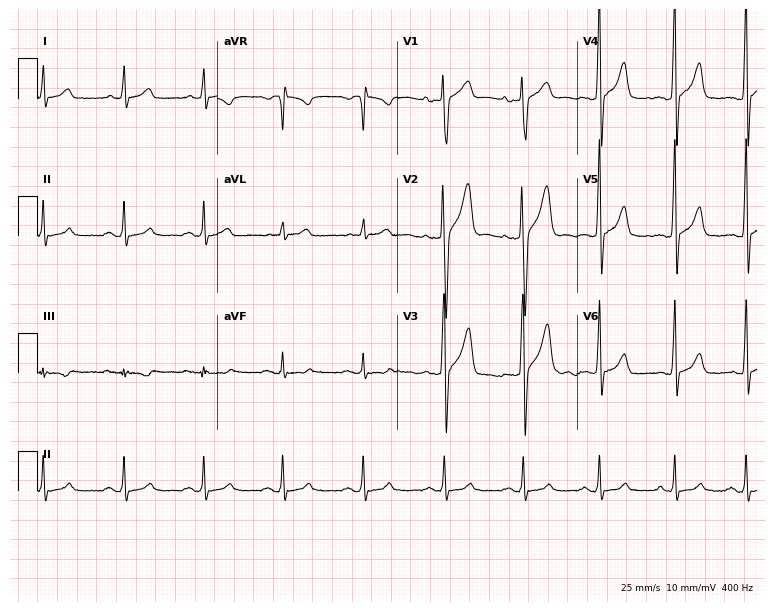
12-lead ECG from a male, 38 years old. Recorded interpretation: within normal limits.